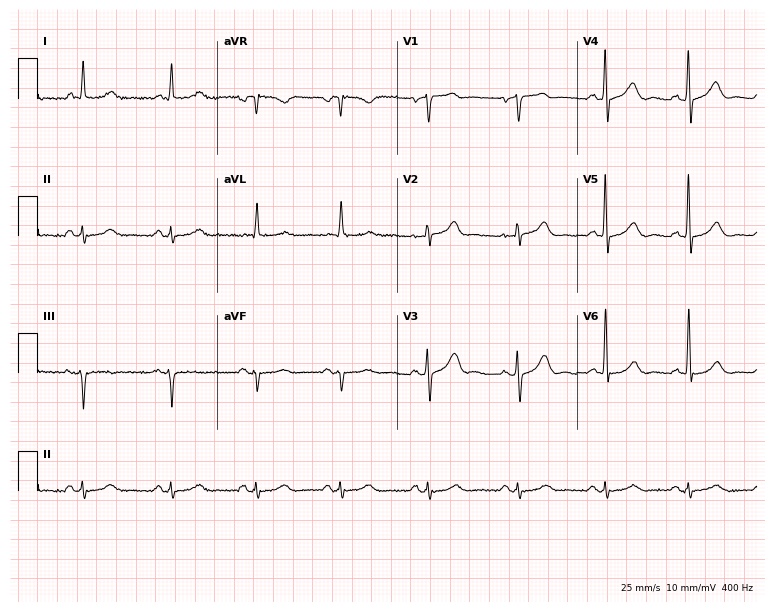
Resting 12-lead electrocardiogram (7.3-second recording at 400 Hz). Patient: a male, 78 years old. Read as a normal ECG.